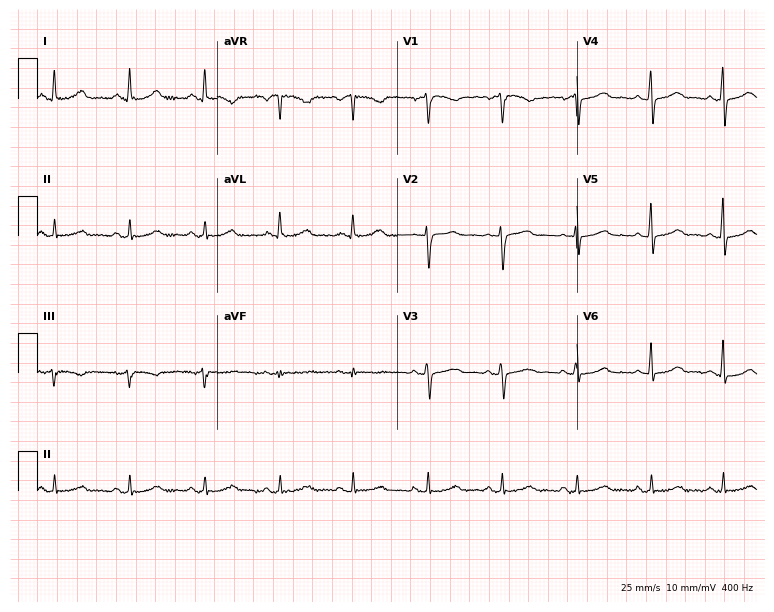
Electrocardiogram, a female patient, 51 years old. Of the six screened findings (first-degree AV block, right bundle branch block, left bundle branch block, sinus bradycardia, atrial fibrillation, sinus tachycardia), none is recorded.